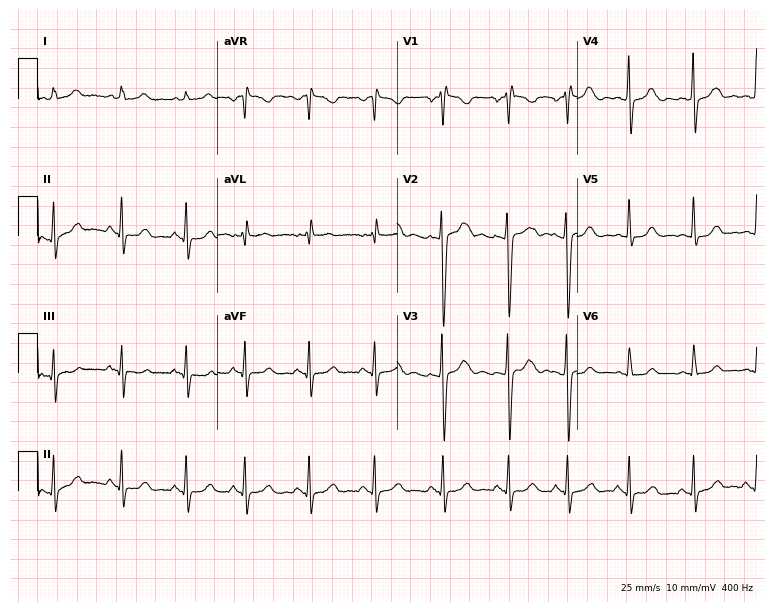
12-lead ECG (7.3-second recording at 400 Hz) from a female, 24 years old. Labelled as a normal ECG.